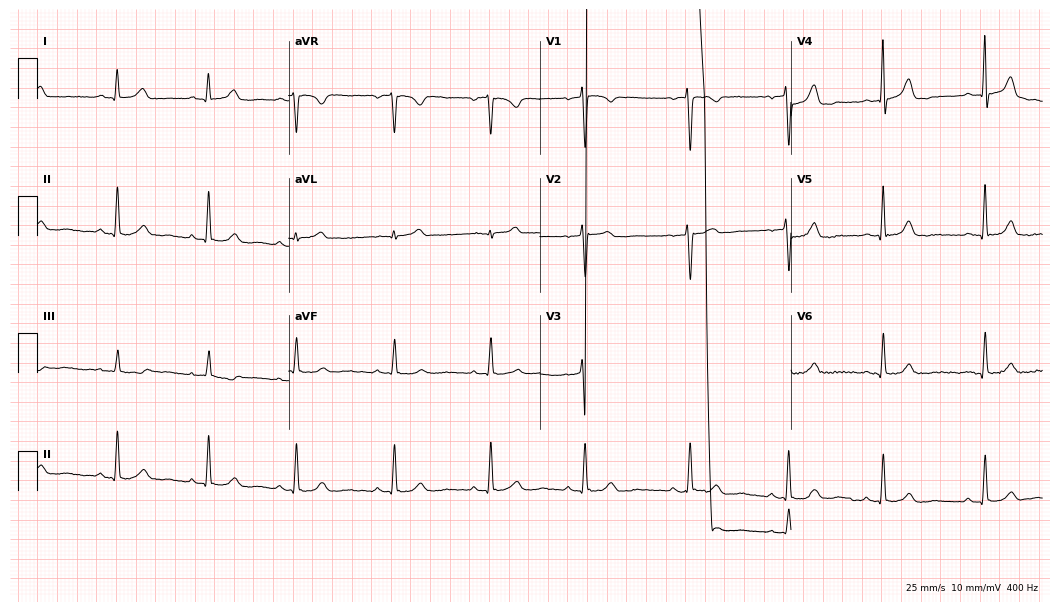
Resting 12-lead electrocardiogram (10.2-second recording at 400 Hz). Patient: a 31-year-old woman. Read as a normal ECG.